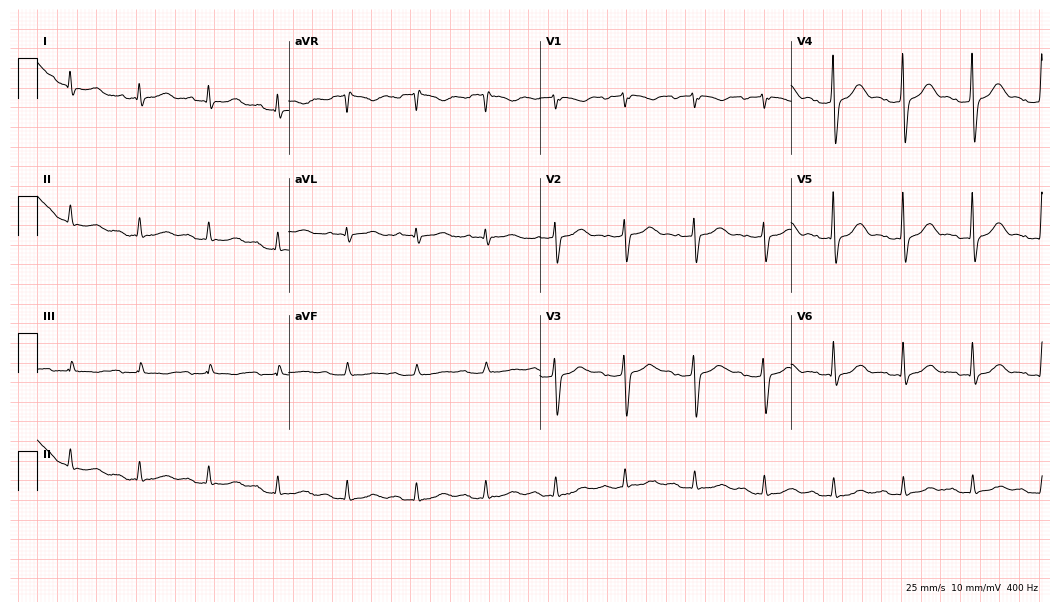
ECG — an 88-year-old male. Findings include first-degree AV block.